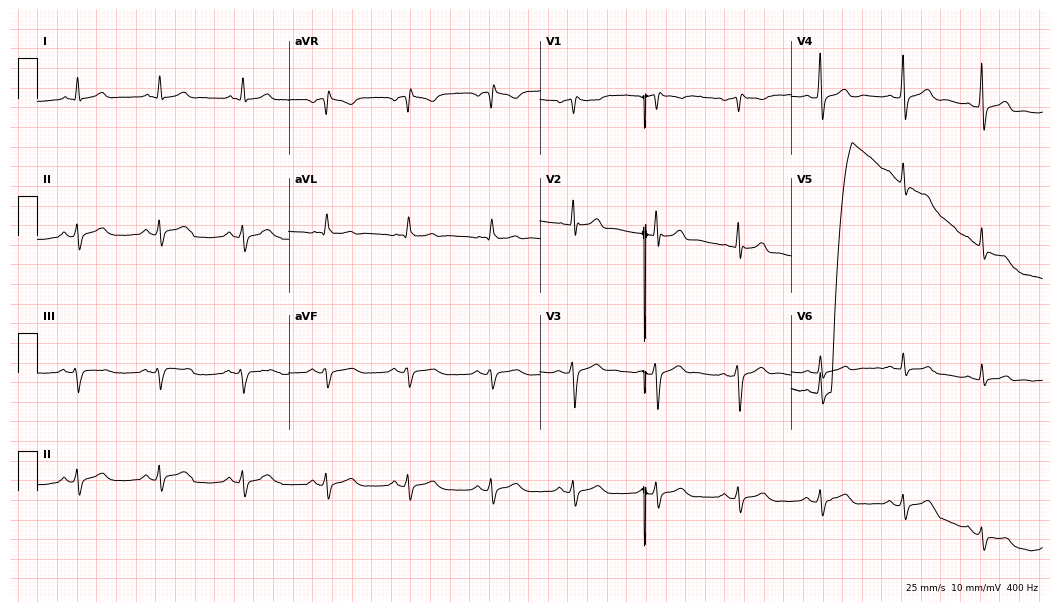
12-lead ECG from a 29-year-old male patient. Screened for six findings — first-degree AV block, right bundle branch block (RBBB), left bundle branch block (LBBB), sinus bradycardia, atrial fibrillation (AF), sinus tachycardia — none is recorded.